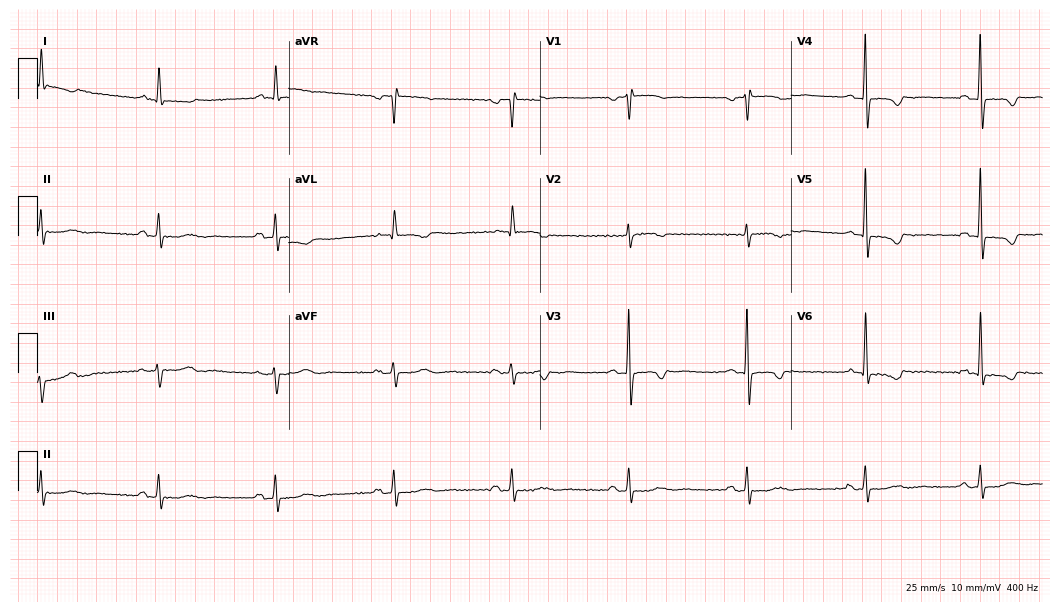
Standard 12-lead ECG recorded from an 80-year-old man. None of these six findings is recorded: first-degree AV block, right bundle branch block, left bundle branch block, sinus bradycardia, atrial fibrillation, sinus tachycardia.